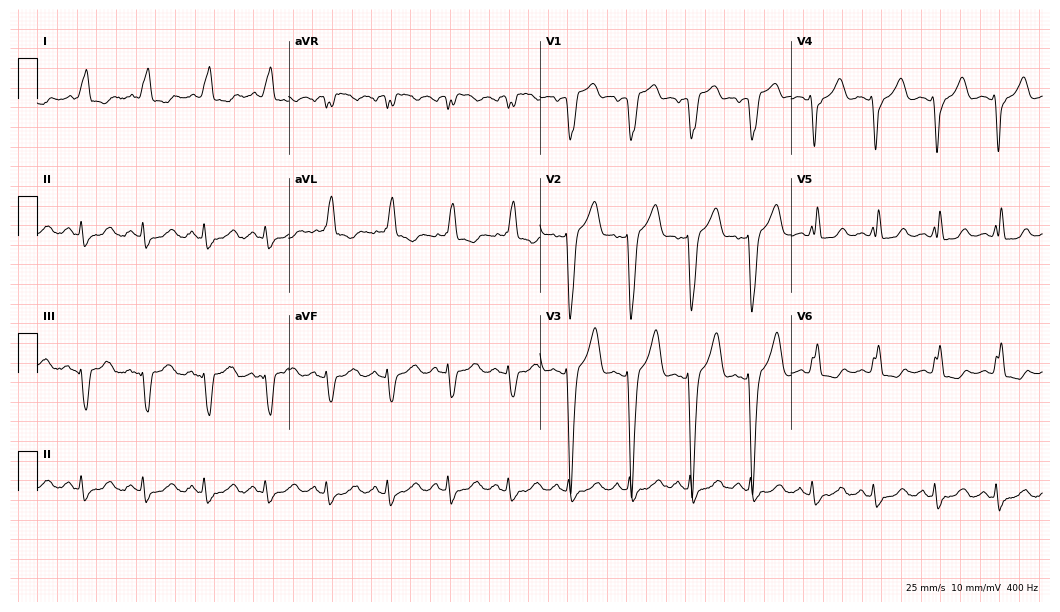
Electrocardiogram, a 62-year-old male patient. Interpretation includes left bundle branch block.